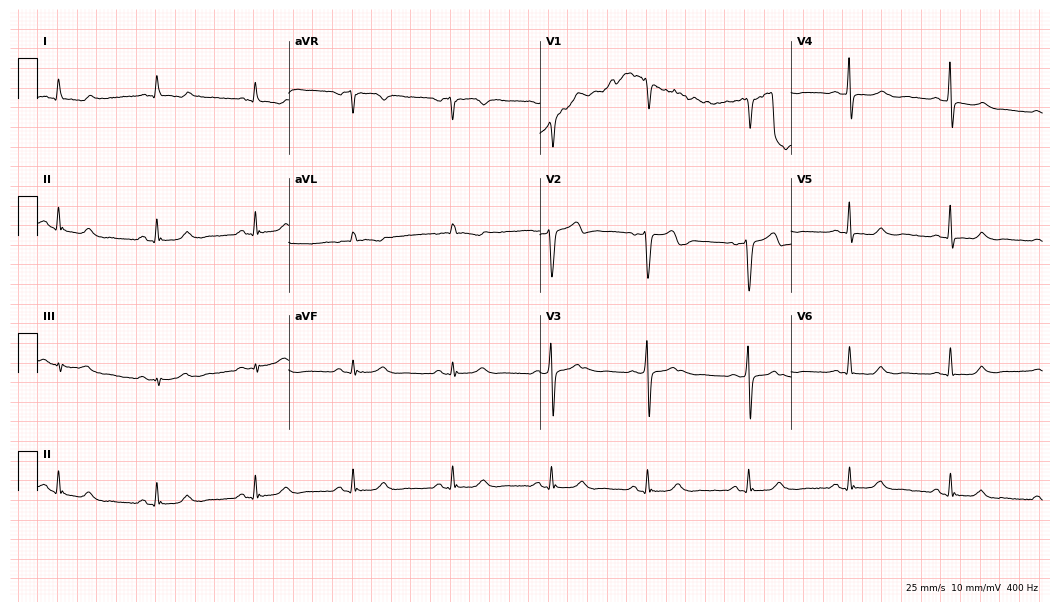
Resting 12-lead electrocardiogram (10.2-second recording at 400 Hz). Patient: a 42-year-old male. None of these six findings is recorded: first-degree AV block, right bundle branch block (RBBB), left bundle branch block (LBBB), sinus bradycardia, atrial fibrillation (AF), sinus tachycardia. Only these six findings were labelled.